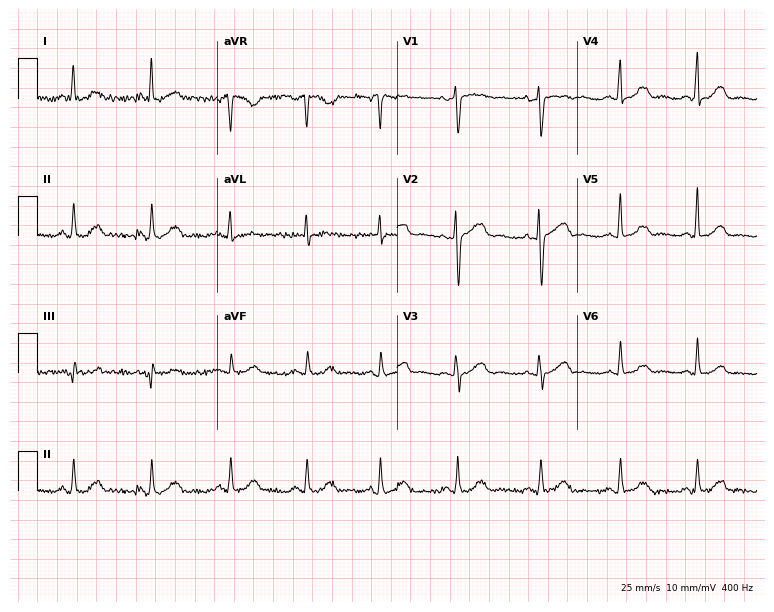
Resting 12-lead electrocardiogram (7.3-second recording at 400 Hz). Patient: a 60-year-old female. None of these six findings is recorded: first-degree AV block, right bundle branch block, left bundle branch block, sinus bradycardia, atrial fibrillation, sinus tachycardia.